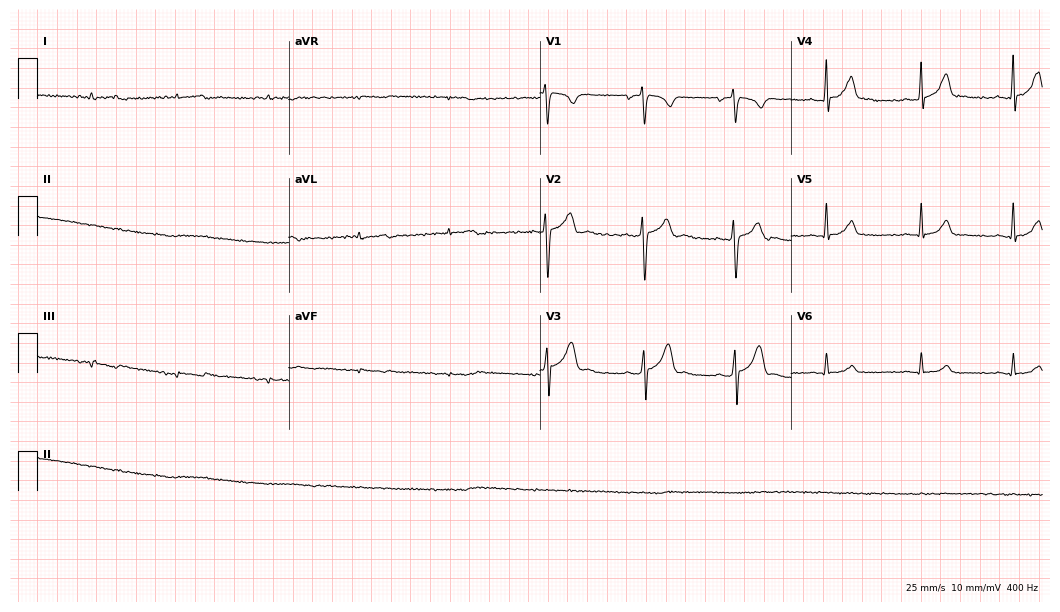
ECG — a 22-year-old female patient. Labelled as a normal ECG.